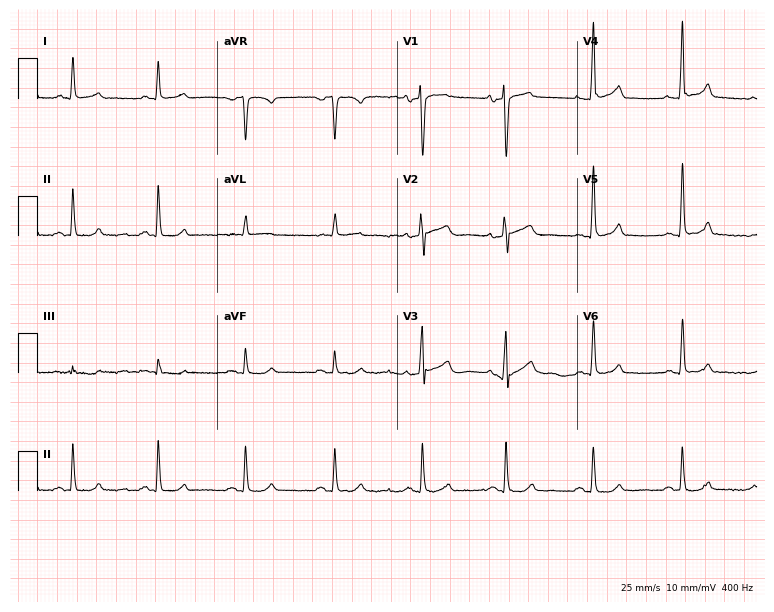
12-lead ECG from a 71-year-old man. Screened for six findings — first-degree AV block, right bundle branch block, left bundle branch block, sinus bradycardia, atrial fibrillation, sinus tachycardia — none is recorded.